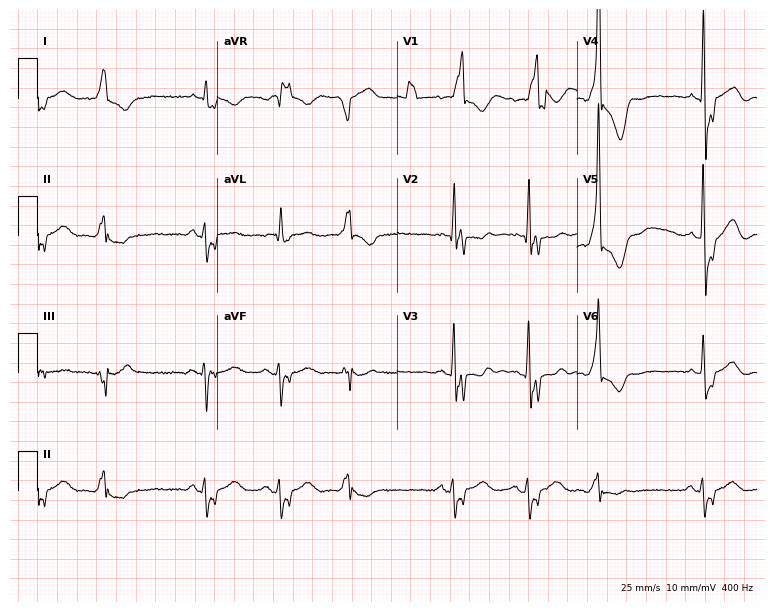
12-lead ECG from a man, 76 years old. Shows right bundle branch block.